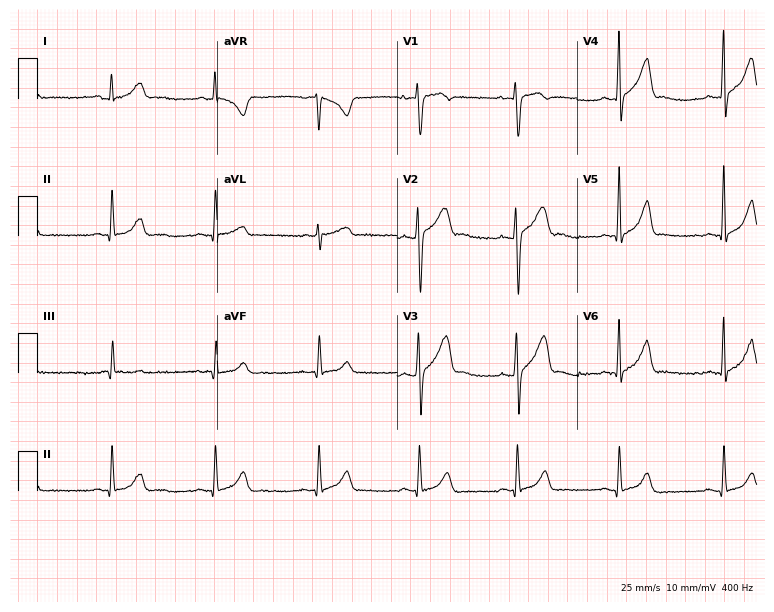
ECG (7.3-second recording at 400 Hz) — a male patient, 21 years old. Screened for six findings — first-degree AV block, right bundle branch block, left bundle branch block, sinus bradycardia, atrial fibrillation, sinus tachycardia — none is recorded.